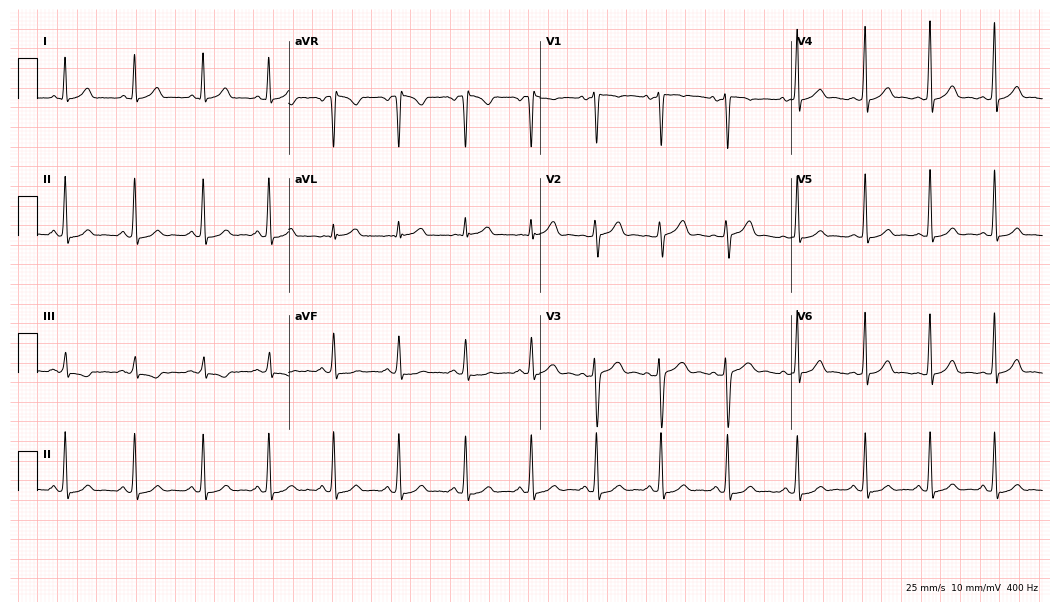
12-lead ECG from a 28-year-old woman (10.2-second recording at 400 Hz). Recorded interpretation: within normal limits.